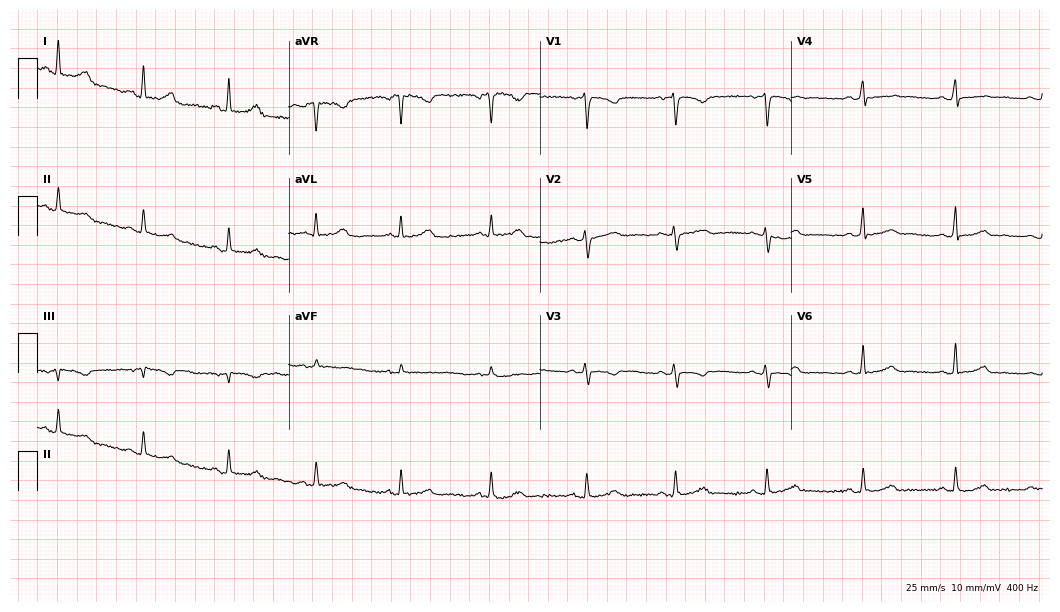
12-lead ECG (10.2-second recording at 400 Hz) from a 28-year-old female patient. Labelled as a normal ECG.